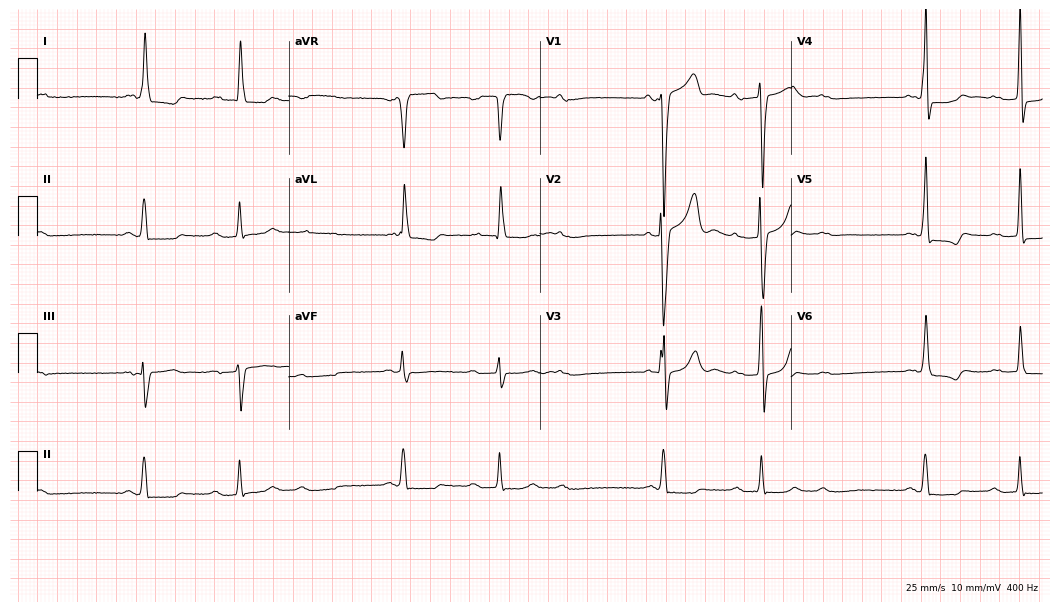
Electrocardiogram, a male patient, 65 years old. Of the six screened findings (first-degree AV block, right bundle branch block, left bundle branch block, sinus bradycardia, atrial fibrillation, sinus tachycardia), none is recorded.